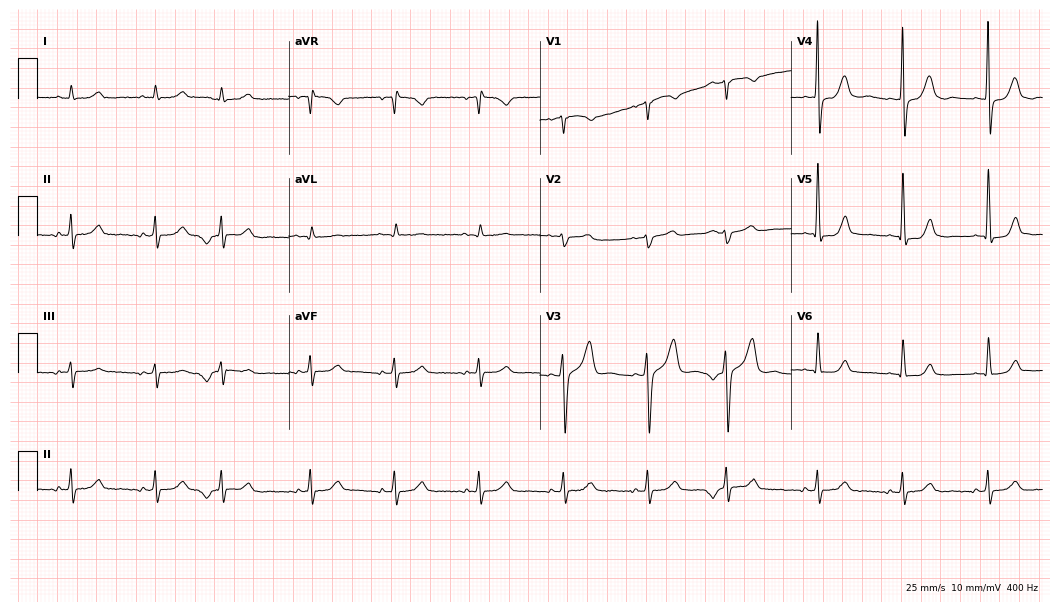
Electrocardiogram, a 52-year-old man. Overall reading on record: normal ECG.